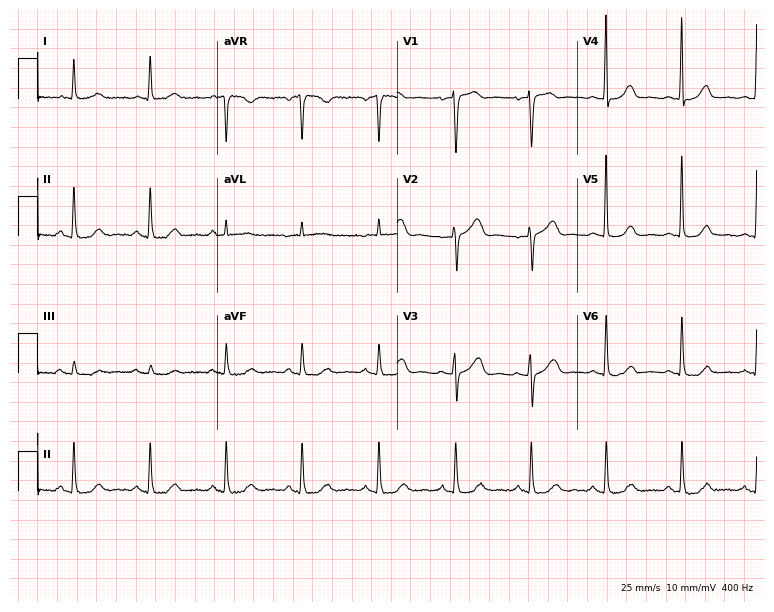
Electrocardiogram (7.3-second recording at 400 Hz), a 76-year-old woman. Overall reading on record: normal ECG.